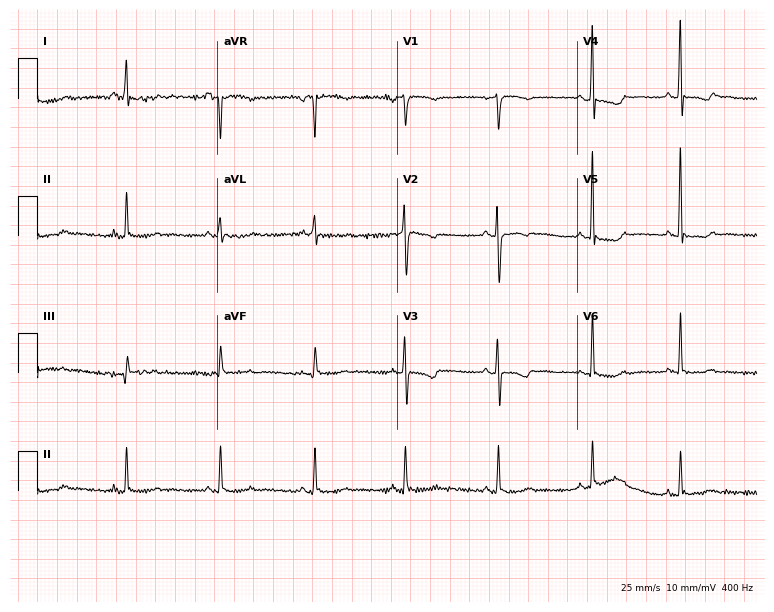
Electrocardiogram (7.3-second recording at 400 Hz), a female patient, 48 years old. Of the six screened findings (first-degree AV block, right bundle branch block (RBBB), left bundle branch block (LBBB), sinus bradycardia, atrial fibrillation (AF), sinus tachycardia), none is recorded.